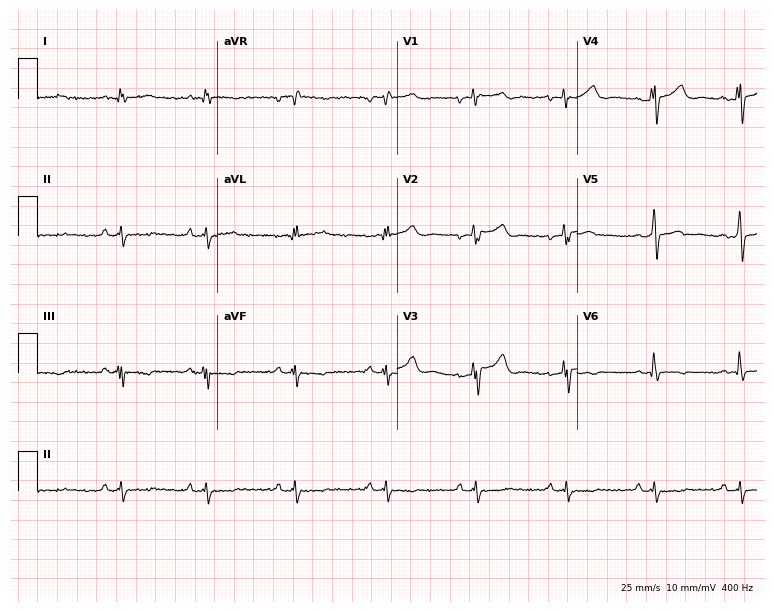
12-lead ECG from a male, 48 years old. Screened for six findings — first-degree AV block, right bundle branch block, left bundle branch block, sinus bradycardia, atrial fibrillation, sinus tachycardia — none is recorded. Findings outside these six are not listed.